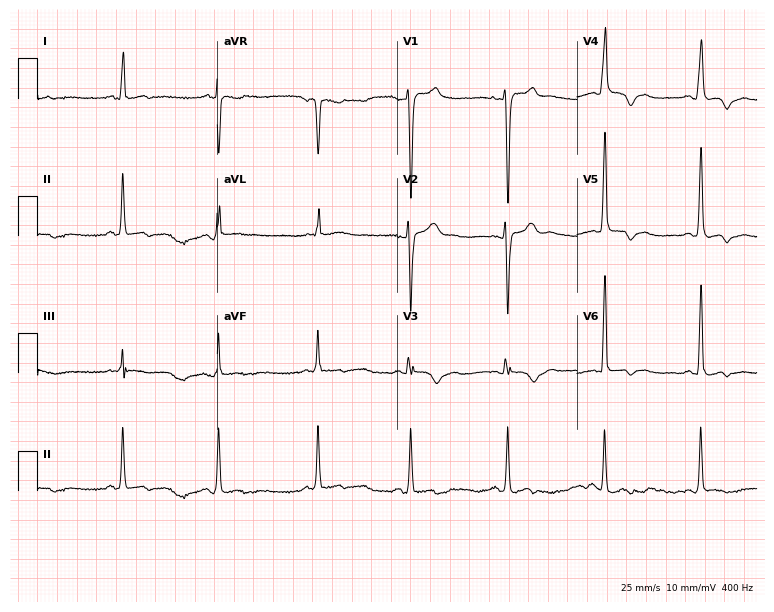
Electrocardiogram, a 34-year-old male patient. Of the six screened findings (first-degree AV block, right bundle branch block (RBBB), left bundle branch block (LBBB), sinus bradycardia, atrial fibrillation (AF), sinus tachycardia), none is recorded.